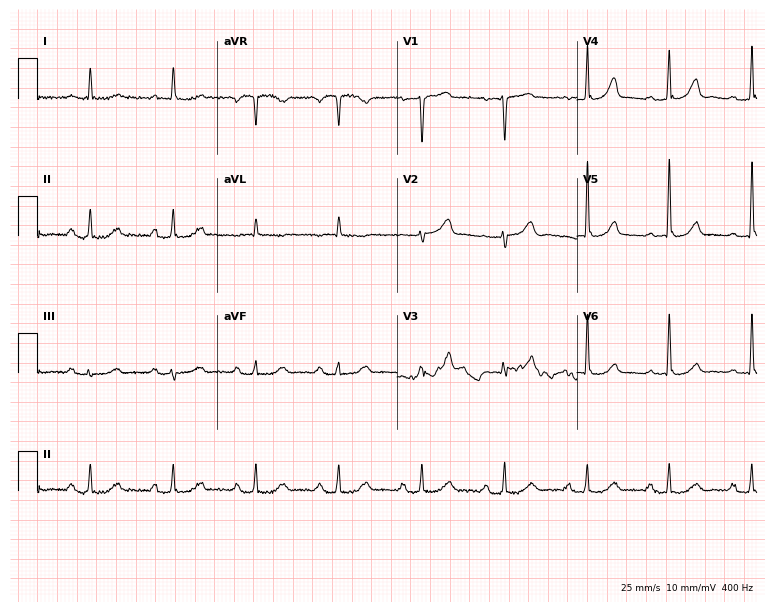
Standard 12-lead ECG recorded from a 71-year-old woman (7.3-second recording at 400 Hz). Read as a normal ECG.